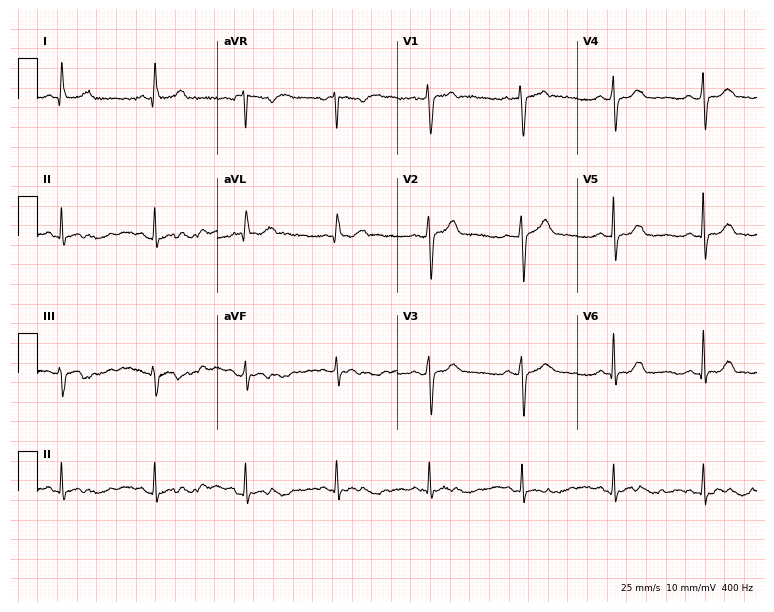
12-lead ECG from a female, 56 years old (7.3-second recording at 400 Hz). No first-degree AV block, right bundle branch block (RBBB), left bundle branch block (LBBB), sinus bradycardia, atrial fibrillation (AF) or sinus tachycardia recorded for this tracing.